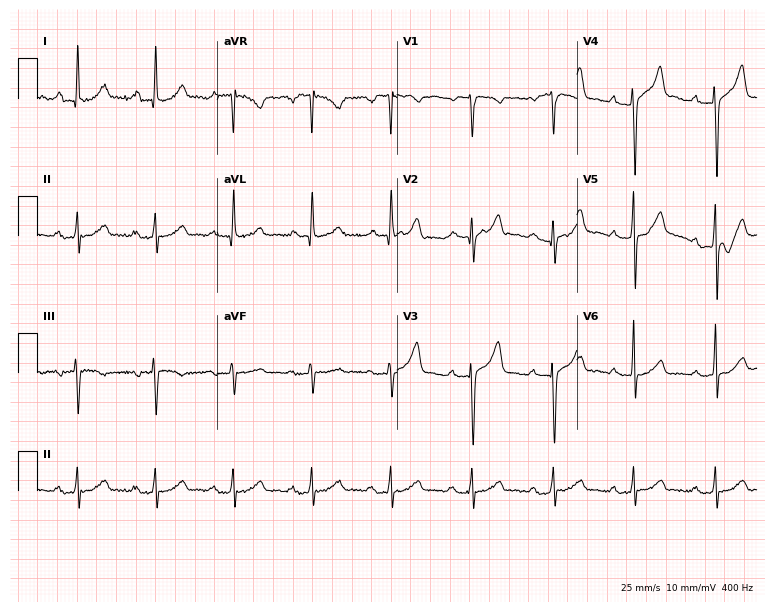
Resting 12-lead electrocardiogram. Patient: a male, 52 years old. The tracing shows first-degree AV block.